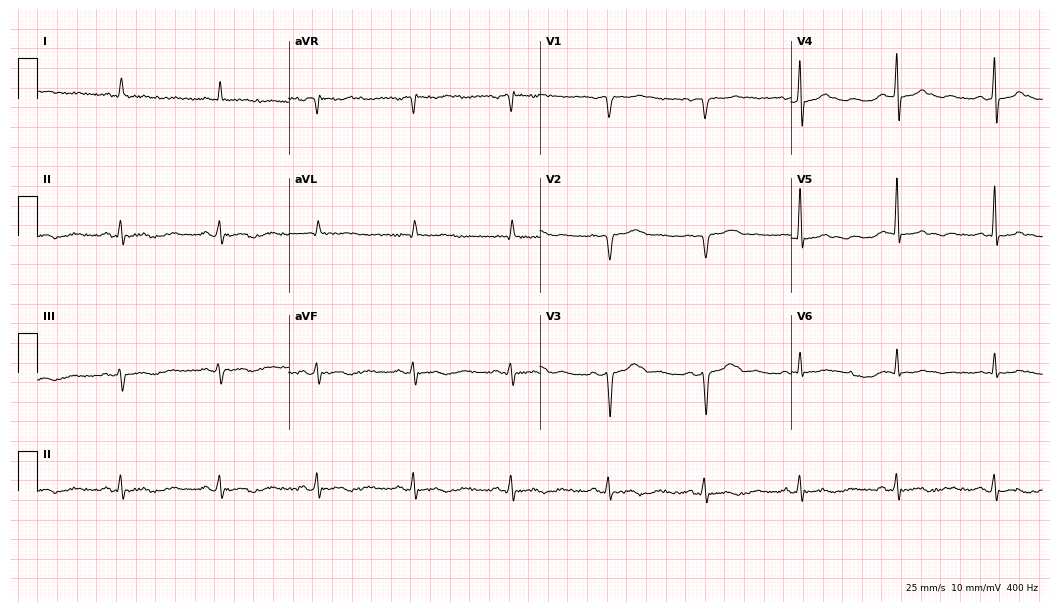
ECG — an 84-year-old male. Screened for six findings — first-degree AV block, right bundle branch block, left bundle branch block, sinus bradycardia, atrial fibrillation, sinus tachycardia — none is recorded. Other findings, if any, are not listed.